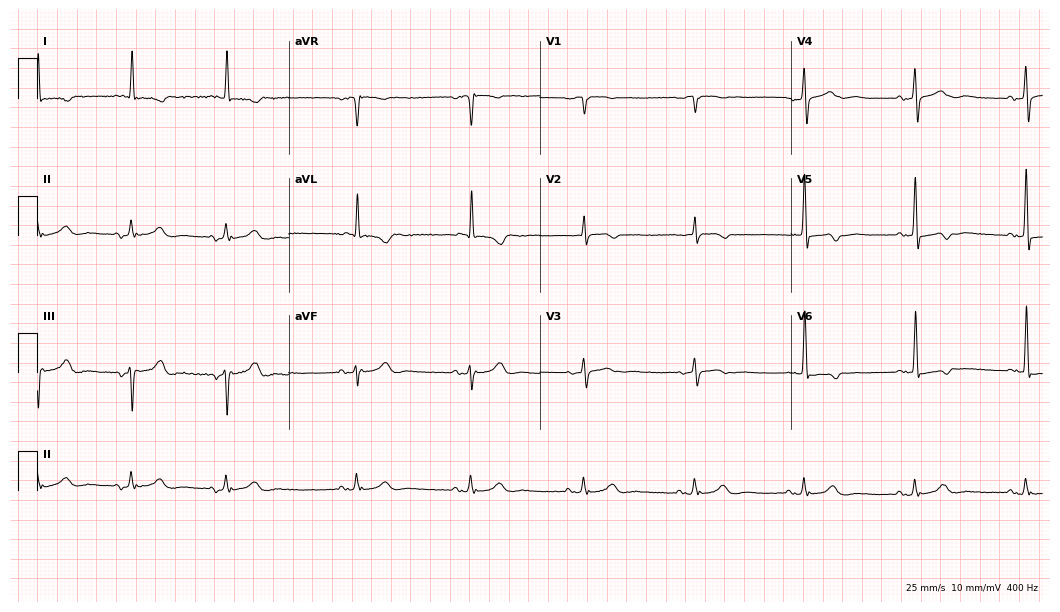
12-lead ECG from a female patient, 84 years old (10.2-second recording at 400 Hz). No first-degree AV block, right bundle branch block, left bundle branch block, sinus bradycardia, atrial fibrillation or sinus tachycardia recorded for this tracing.